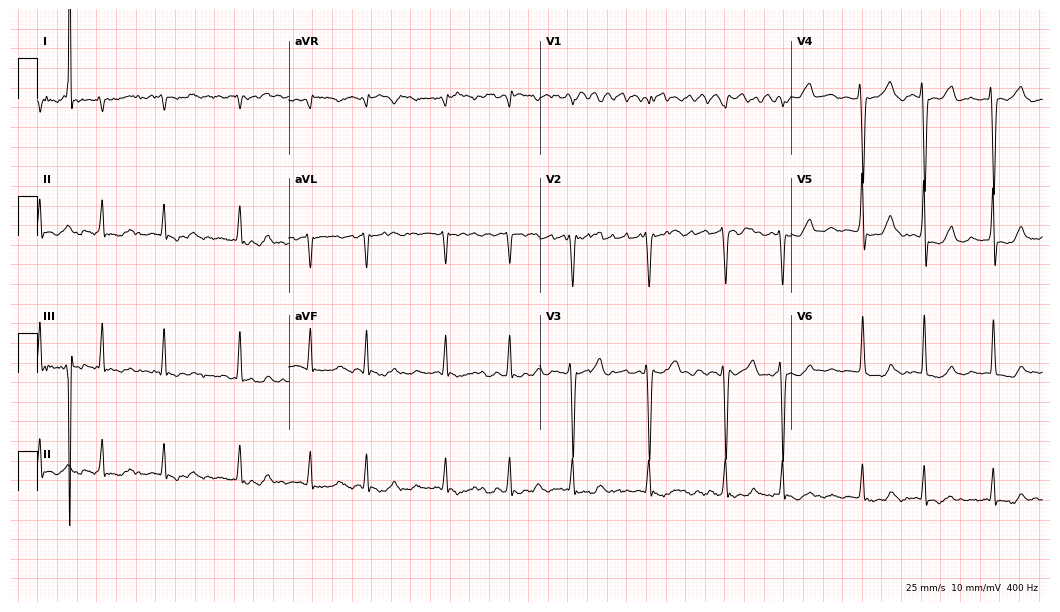
ECG (10.2-second recording at 400 Hz) — a female, 49 years old. Screened for six findings — first-degree AV block, right bundle branch block, left bundle branch block, sinus bradycardia, atrial fibrillation, sinus tachycardia — none is recorded.